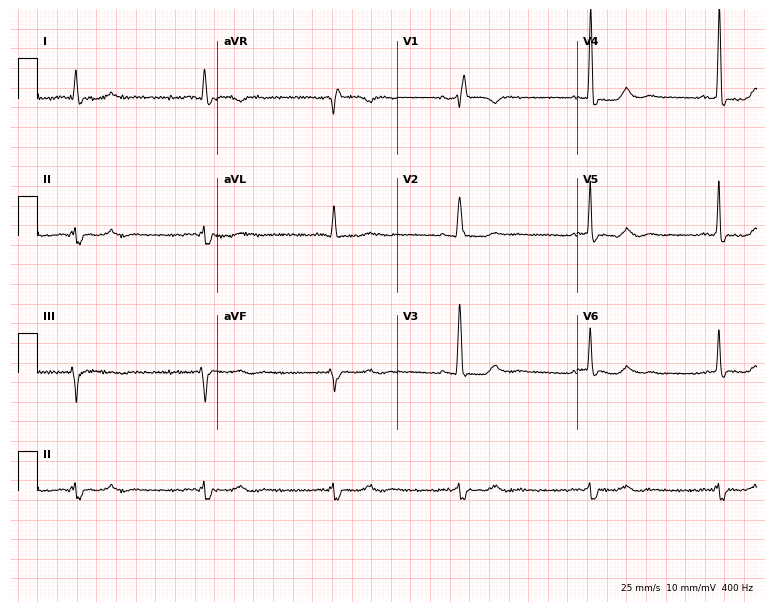
12-lead ECG (7.3-second recording at 400 Hz) from a woman, 70 years old. Findings include right bundle branch block.